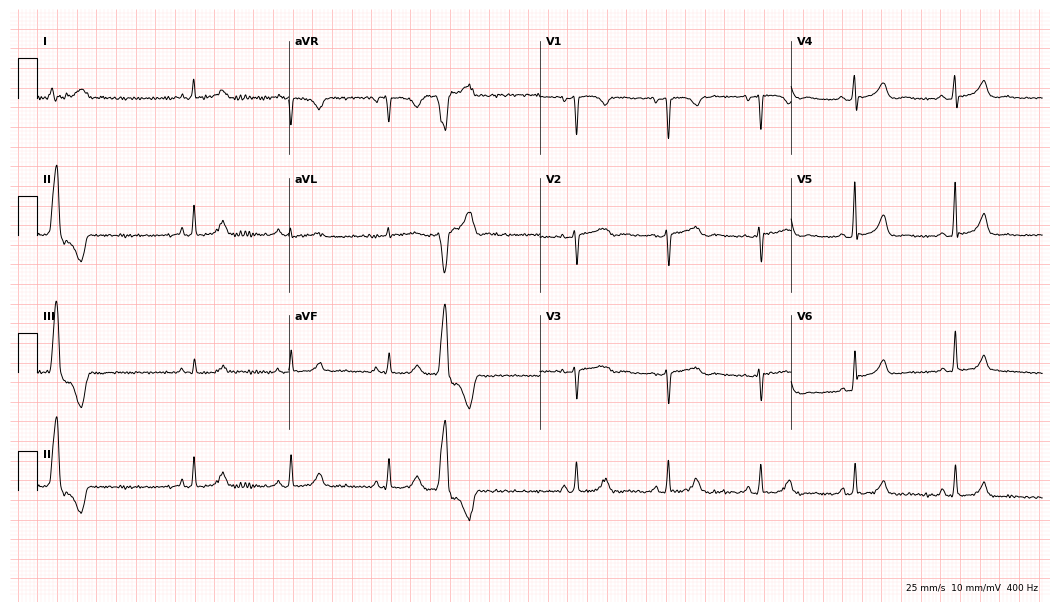
12-lead ECG (10.2-second recording at 400 Hz) from a female, 46 years old. Screened for six findings — first-degree AV block, right bundle branch block (RBBB), left bundle branch block (LBBB), sinus bradycardia, atrial fibrillation (AF), sinus tachycardia — none is recorded.